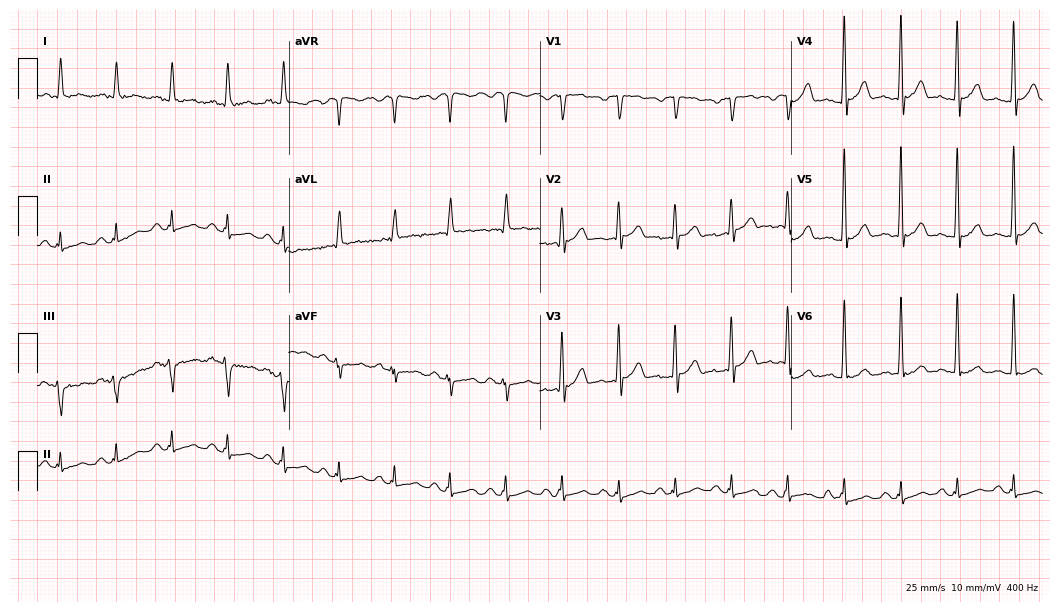
12-lead ECG from a male, 67 years old. Findings include sinus tachycardia (a sinus rate of 100 beats per minute or more).